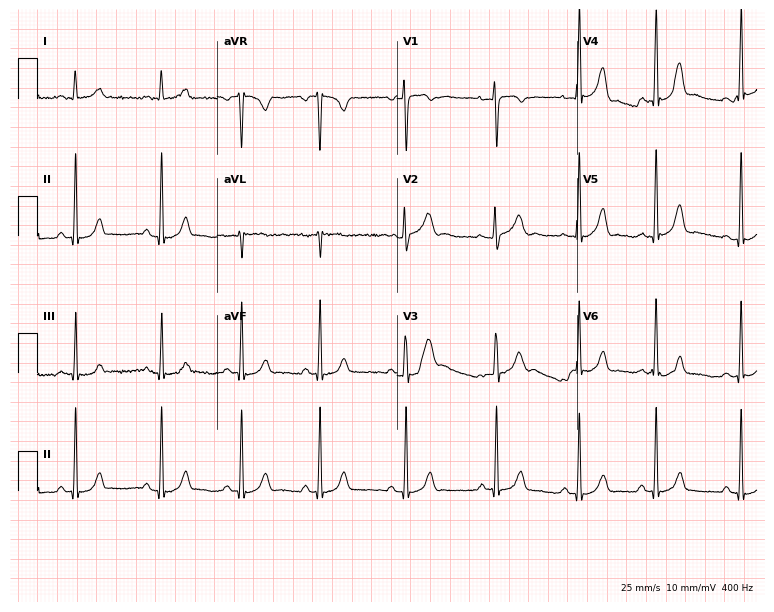
Electrocardiogram, a female patient, 20 years old. Of the six screened findings (first-degree AV block, right bundle branch block (RBBB), left bundle branch block (LBBB), sinus bradycardia, atrial fibrillation (AF), sinus tachycardia), none is recorded. Other findings, if any, are not listed.